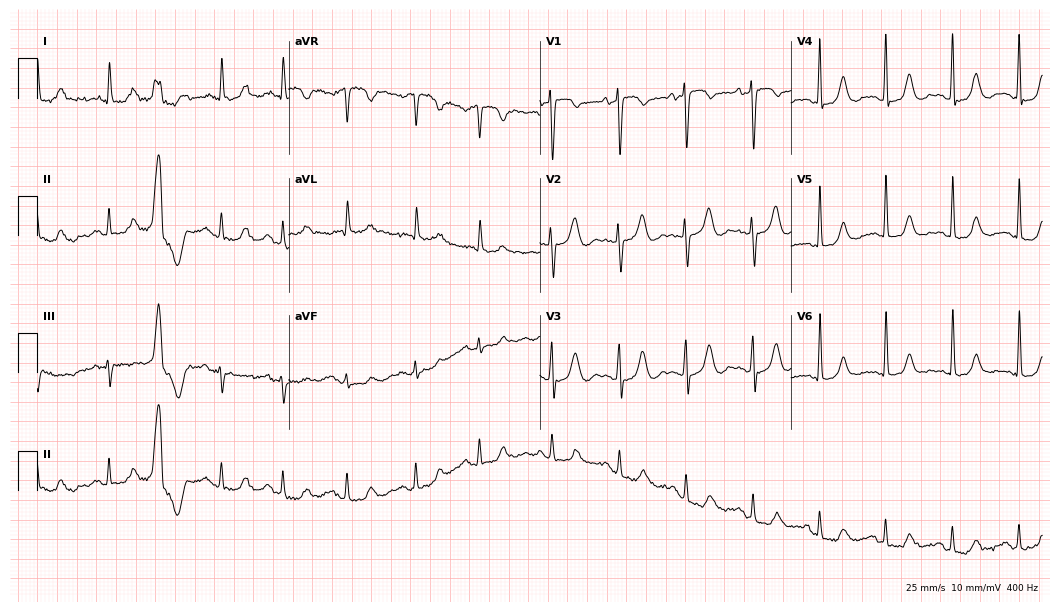
Resting 12-lead electrocardiogram. Patient: an 85-year-old male. None of these six findings is recorded: first-degree AV block, right bundle branch block (RBBB), left bundle branch block (LBBB), sinus bradycardia, atrial fibrillation (AF), sinus tachycardia. Findings outside these six are not listed.